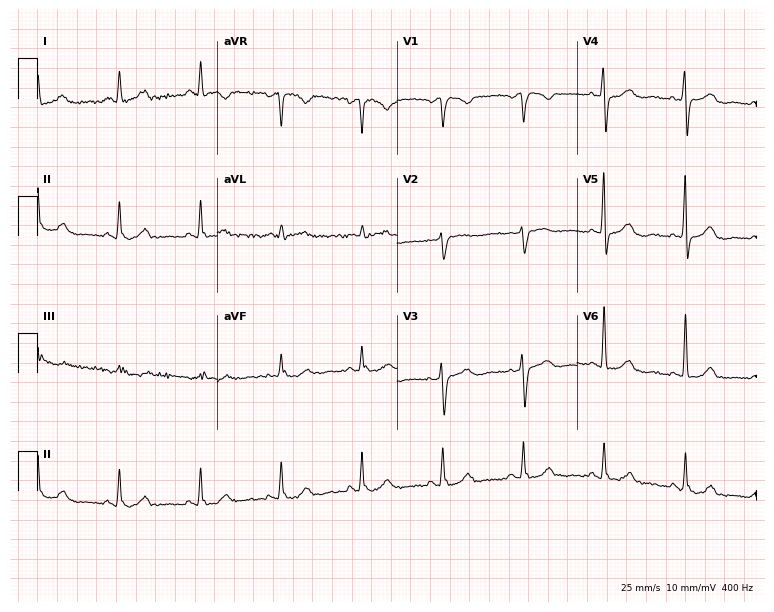
ECG — a female patient, 51 years old. Screened for six findings — first-degree AV block, right bundle branch block, left bundle branch block, sinus bradycardia, atrial fibrillation, sinus tachycardia — none is recorded.